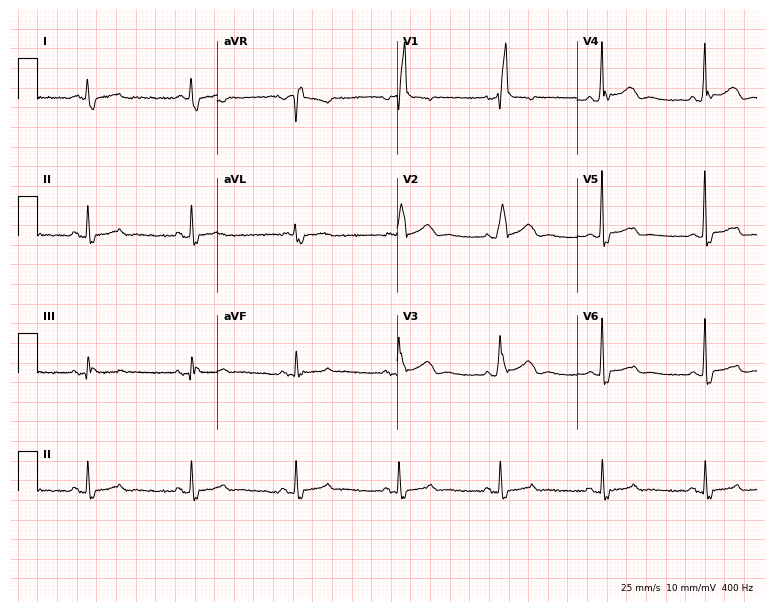
12-lead ECG from a male, 55 years old. Shows right bundle branch block.